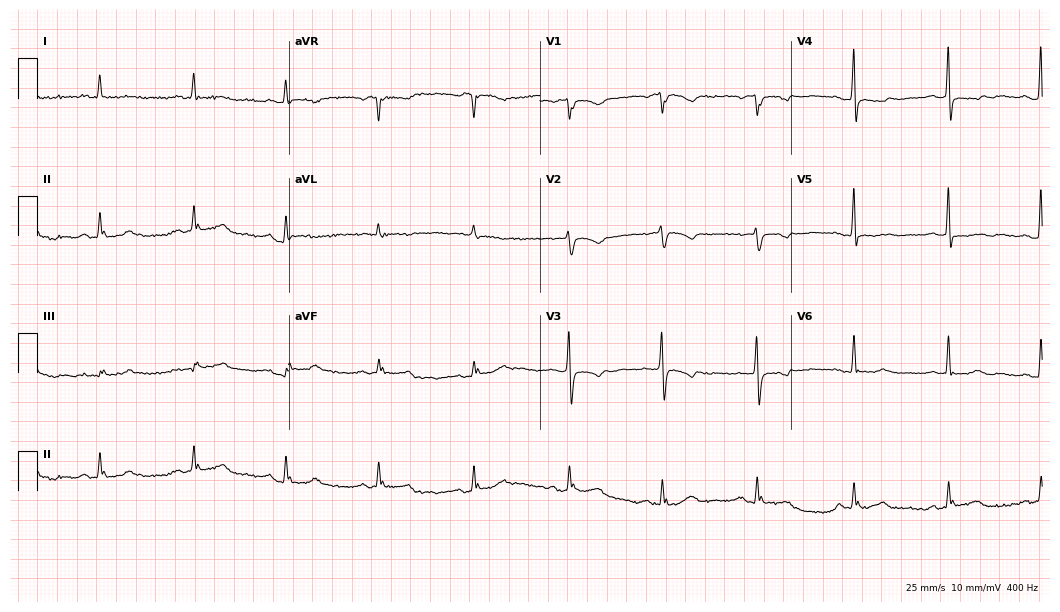
Standard 12-lead ECG recorded from a female patient, 66 years old. None of these six findings is recorded: first-degree AV block, right bundle branch block, left bundle branch block, sinus bradycardia, atrial fibrillation, sinus tachycardia. Other findings, if any, are not listed.